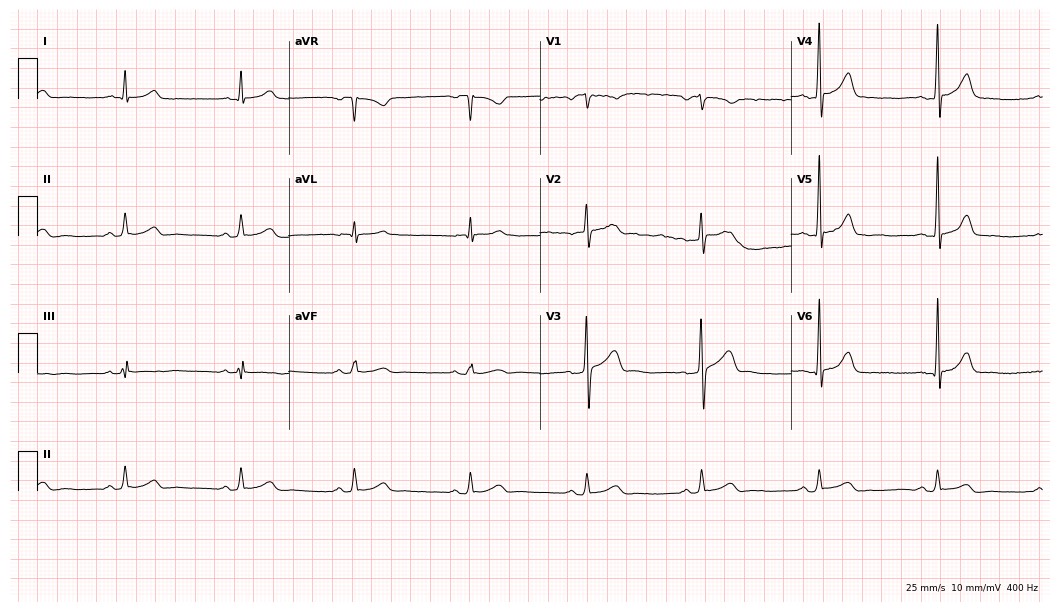
Standard 12-lead ECG recorded from a male patient, 68 years old (10.2-second recording at 400 Hz). Read as a normal ECG.